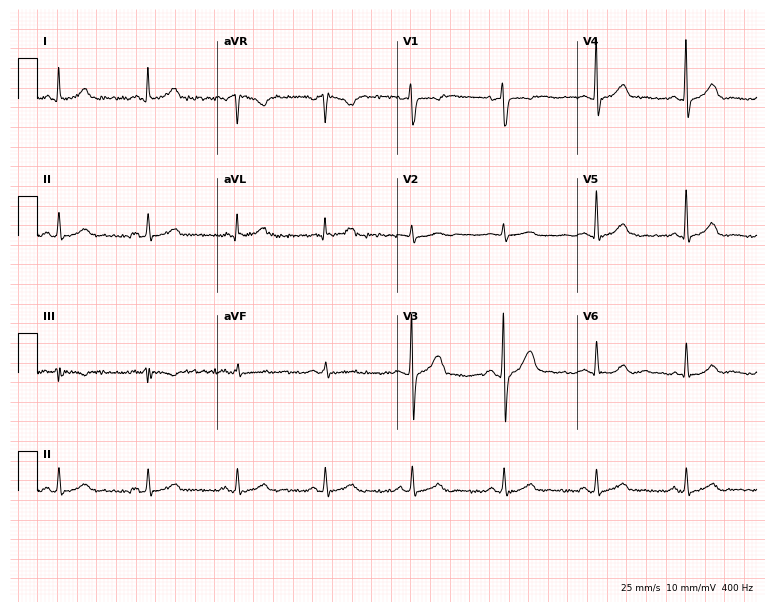
Electrocardiogram (7.3-second recording at 400 Hz), a male, 26 years old. Overall reading on record: normal ECG.